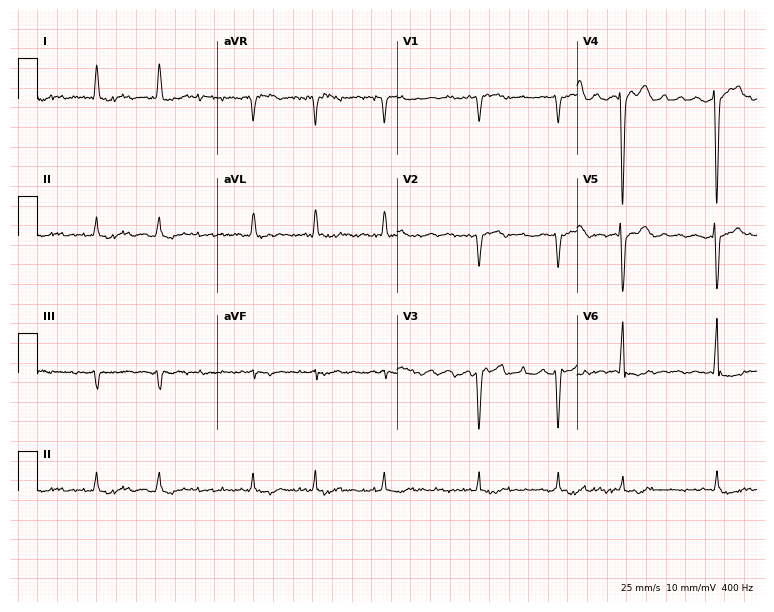
12-lead ECG from a male, 70 years old. No first-degree AV block, right bundle branch block (RBBB), left bundle branch block (LBBB), sinus bradycardia, atrial fibrillation (AF) or sinus tachycardia recorded for this tracing.